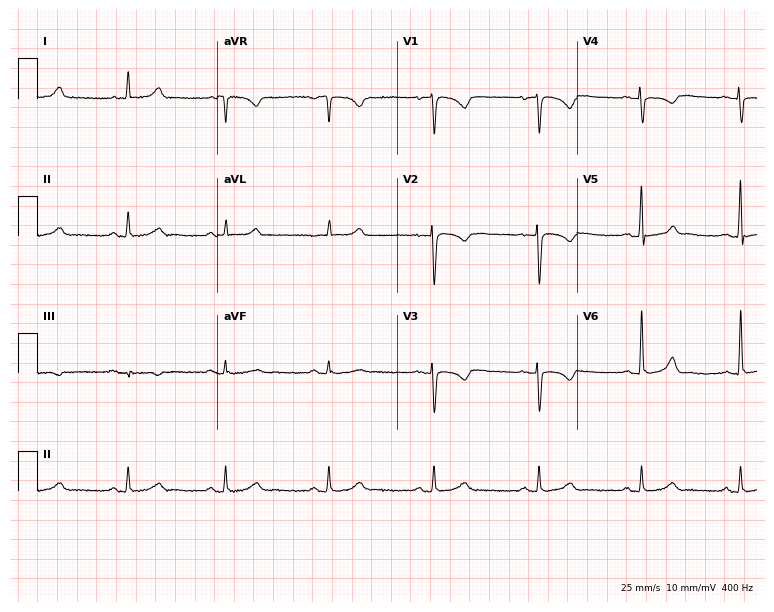
ECG — a 44-year-old woman. Labelled as a normal ECG.